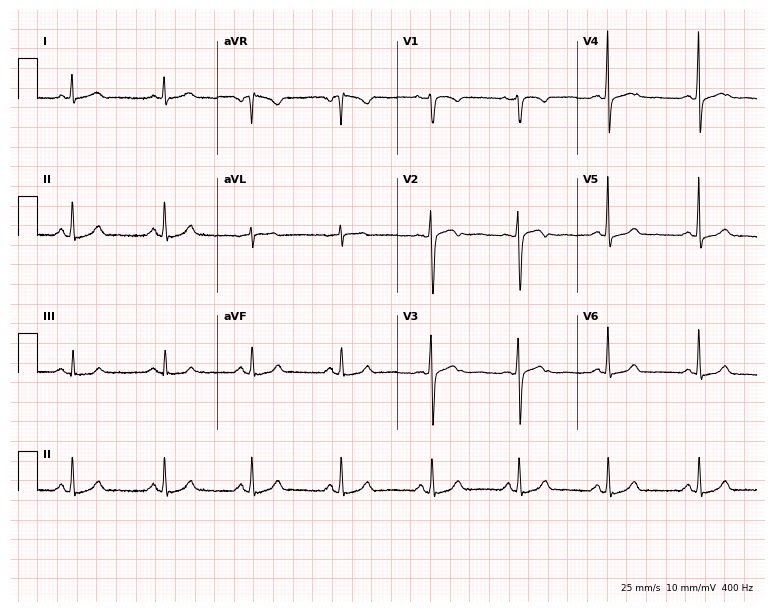
ECG — a 46-year-old female patient. Labelled as a normal ECG.